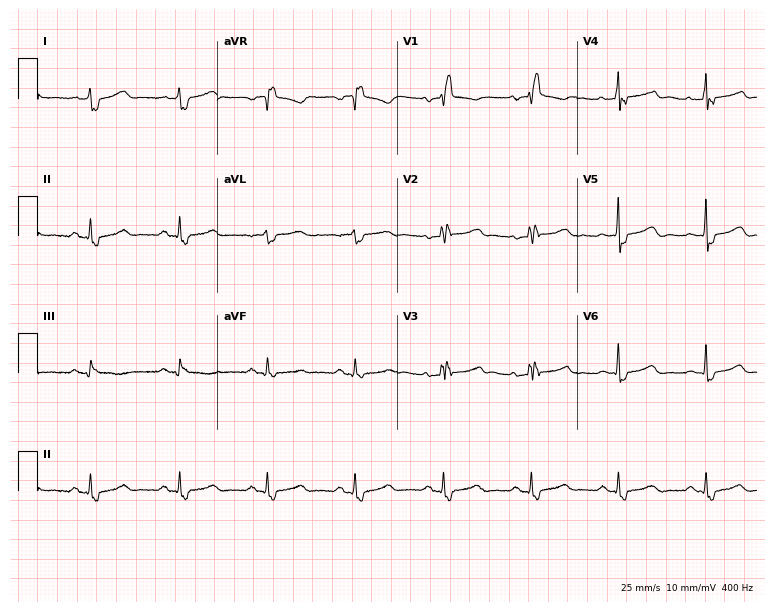
Standard 12-lead ECG recorded from a 38-year-old female (7.3-second recording at 400 Hz). The tracing shows right bundle branch block (RBBB).